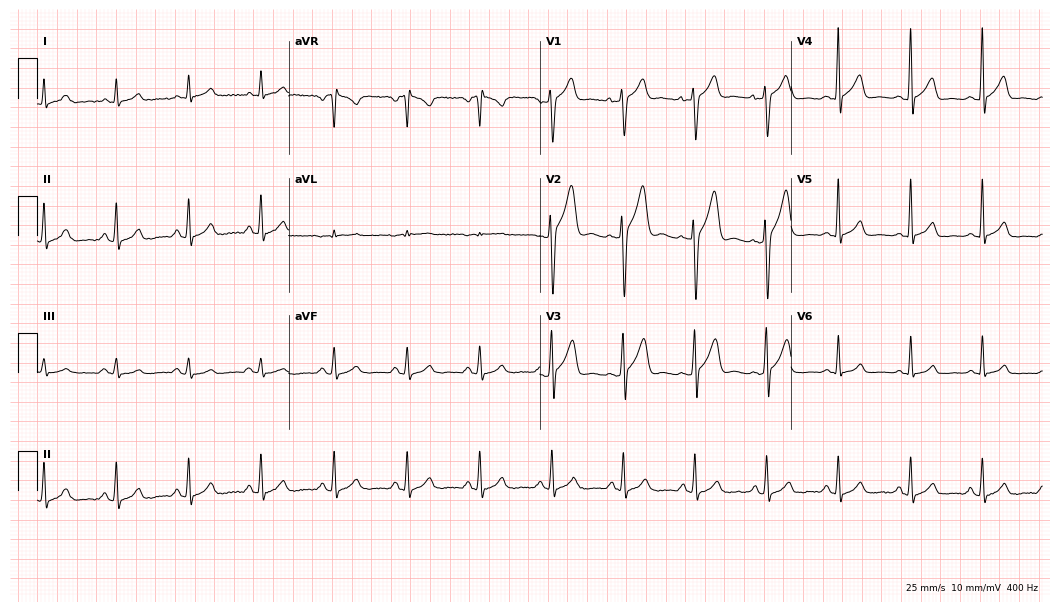
ECG (10.2-second recording at 400 Hz) — a man, 44 years old. Screened for six findings — first-degree AV block, right bundle branch block, left bundle branch block, sinus bradycardia, atrial fibrillation, sinus tachycardia — none is recorded.